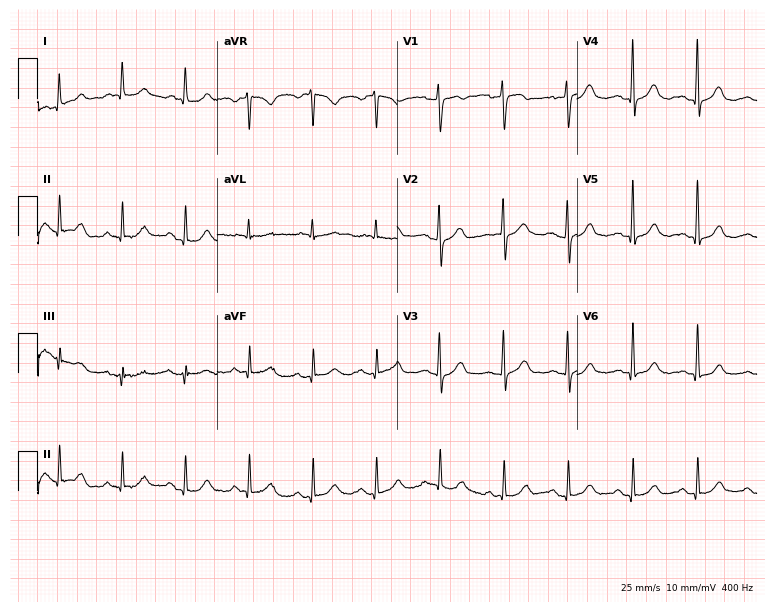
12-lead ECG (7.3-second recording at 400 Hz) from a woman, 64 years old. Labelled as a normal ECG.